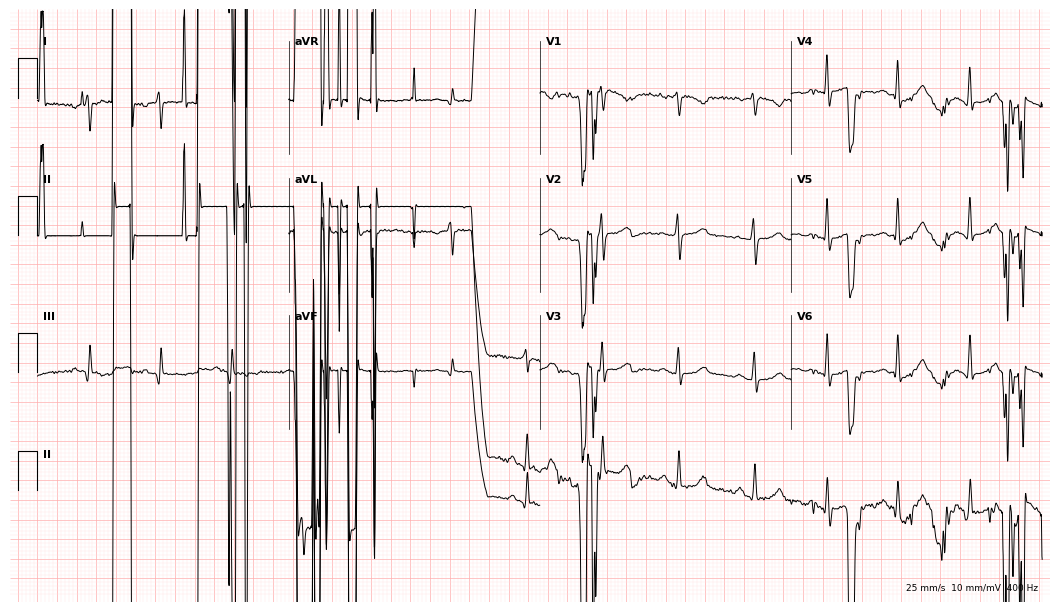
Electrocardiogram, a 37-year-old female. Of the six screened findings (first-degree AV block, right bundle branch block (RBBB), left bundle branch block (LBBB), sinus bradycardia, atrial fibrillation (AF), sinus tachycardia), none is recorded. Other findings, if any, are not listed.